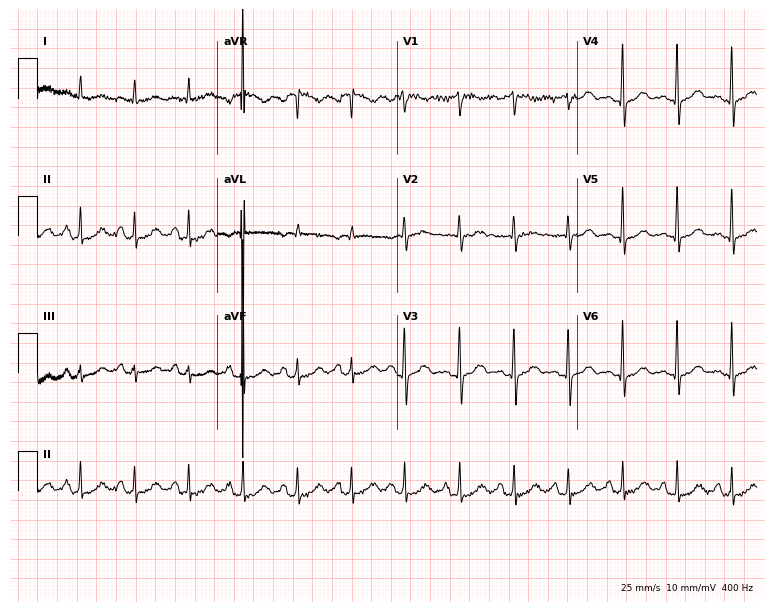
Resting 12-lead electrocardiogram (7.3-second recording at 400 Hz). Patient: a 68-year-old woman. The tracing shows sinus tachycardia (a sinus rate of 100 beats per minute or more).